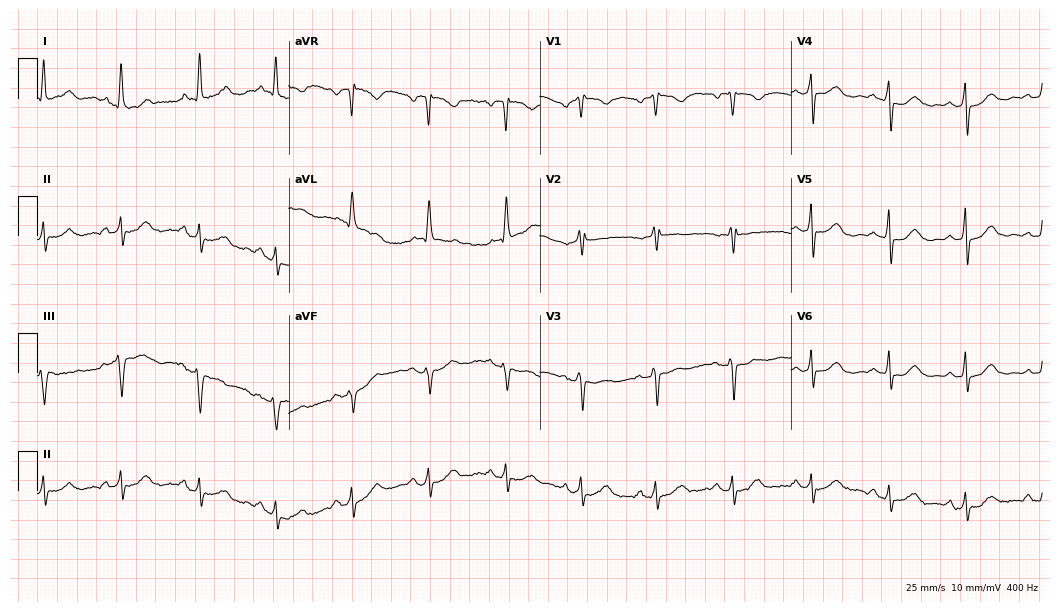
12-lead ECG from a 73-year-old female patient (10.2-second recording at 400 Hz). No first-degree AV block, right bundle branch block (RBBB), left bundle branch block (LBBB), sinus bradycardia, atrial fibrillation (AF) or sinus tachycardia recorded for this tracing. Other findings, if any, are not listed.